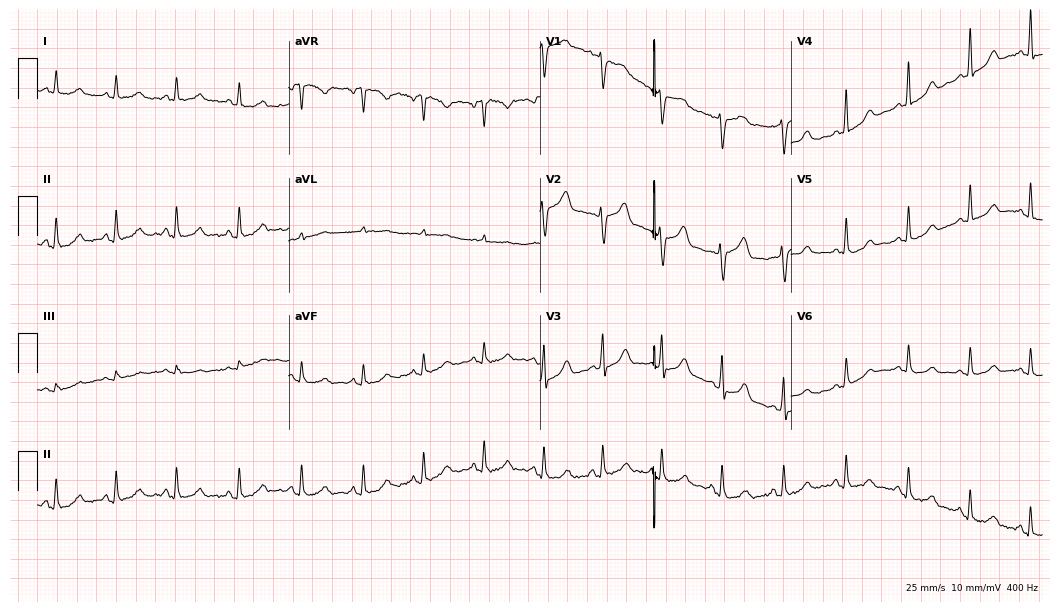
12-lead ECG from a 61-year-old female patient. Labelled as a normal ECG.